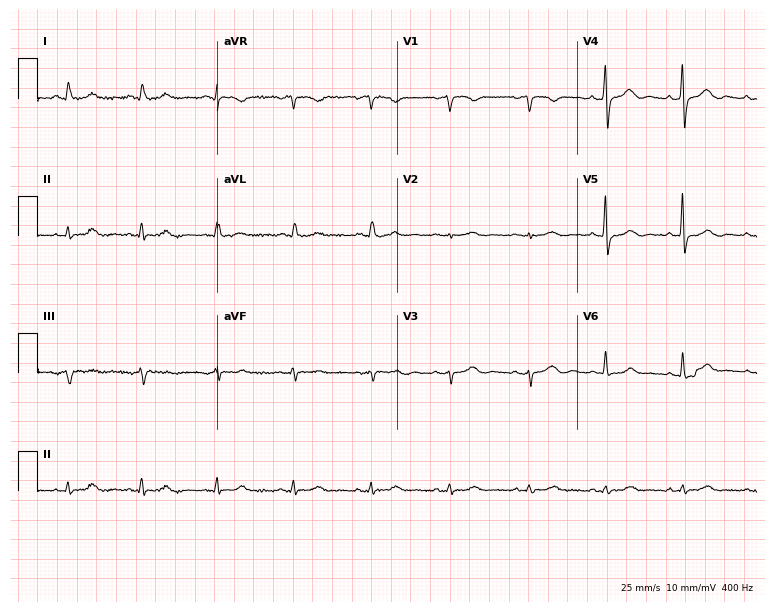
12-lead ECG from a 65-year-old female patient. Recorded interpretation: within normal limits.